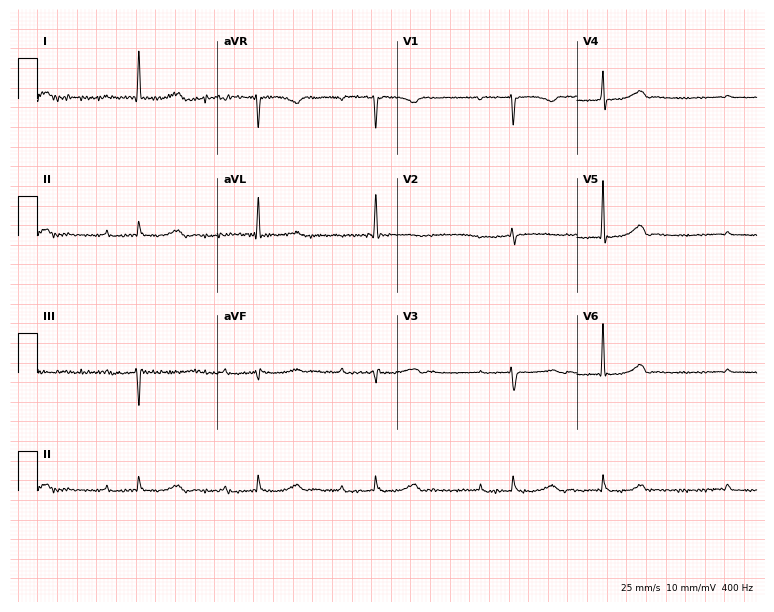
12-lead ECG from an 81-year-old female patient. Findings include first-degree AV block, sinus bradycardia (a sinus rate of 50 beats per minute or less), atrial fibrillation.